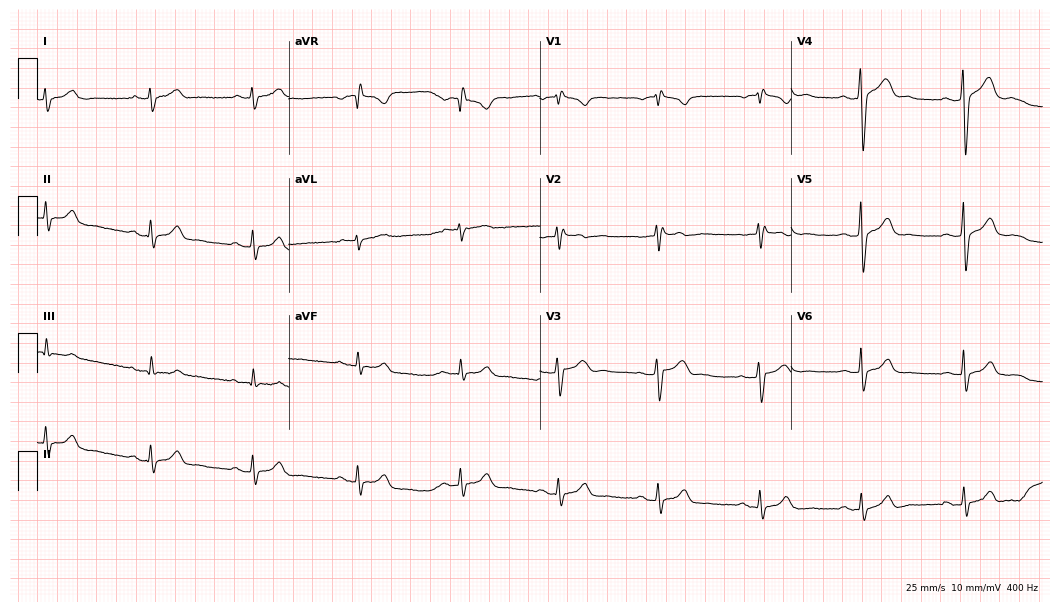
Standard 12-lead ECG recorded from a male patient, 29 years old (10.2-second recording at 400 Hz). Read as a normal ECG.